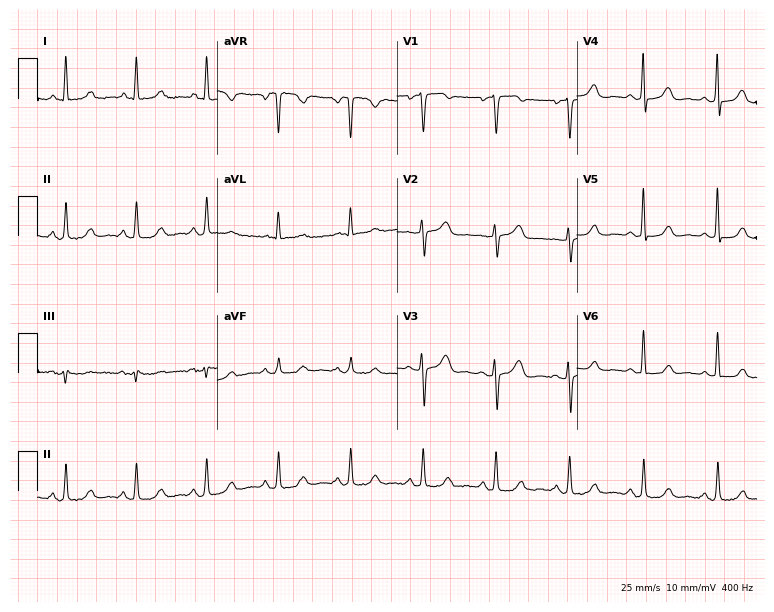
12-lead ECG (7.3-second recording at 400 Hz) from a 67-year-old female. Screened for six findings — first-degree AV block, right bundle branch block, left bundle branch block, sinus bradycardia, atrial fibrillation, sinus tachycardia — none is recorded. Findings outside these six are not listed.